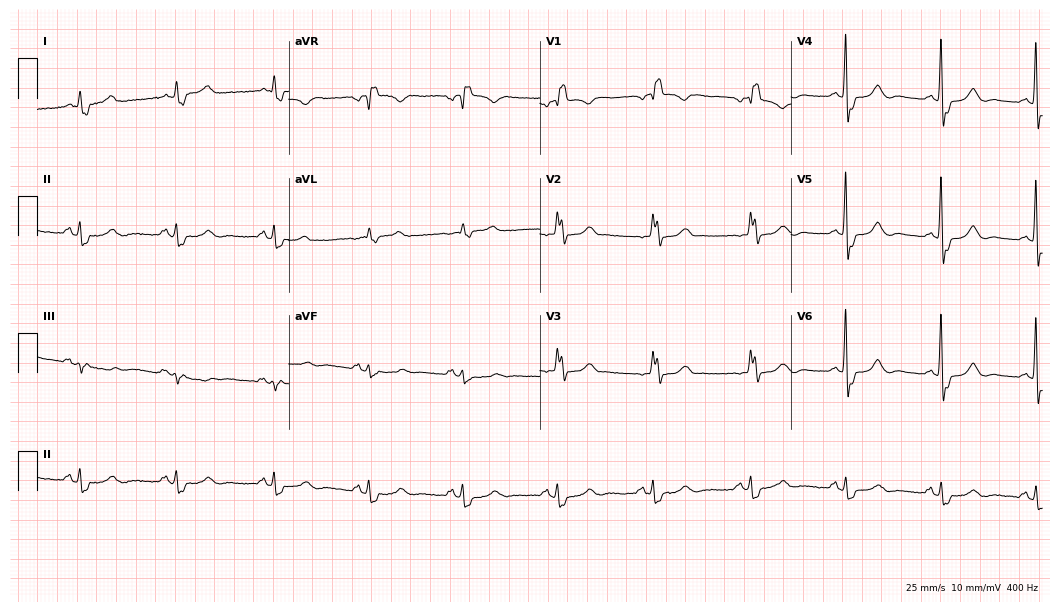
Standard 12-lead ECG recorded from a 75-year-old female patient. The tracing shows right bundle branch block.